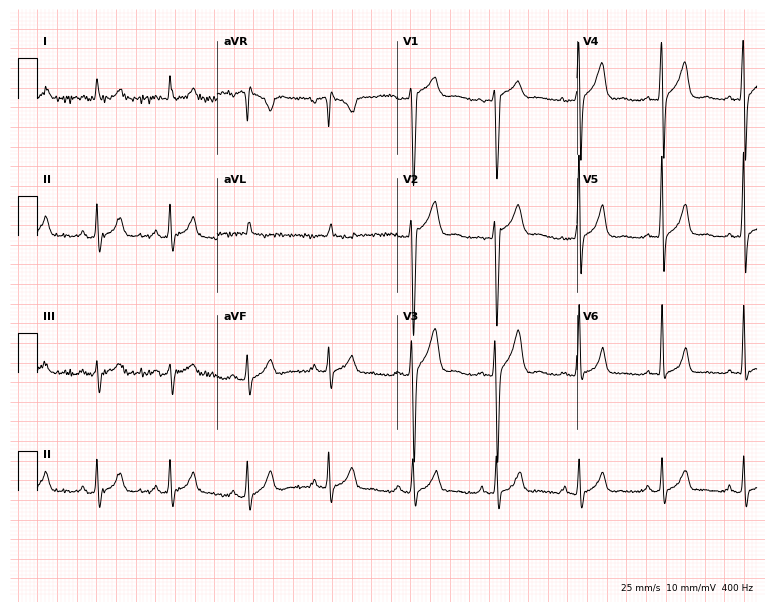
Standard 12-lead ECG recorded from a 30-year-old man (7.3-second recording at 400 Hz). None of these six findings is recorded: first-degree AV block, right bundle branch block (RBBB), left bundle branch block (LBBB), sinus bradycardia, atrial fibrillation (AF), sinus tachycardia.